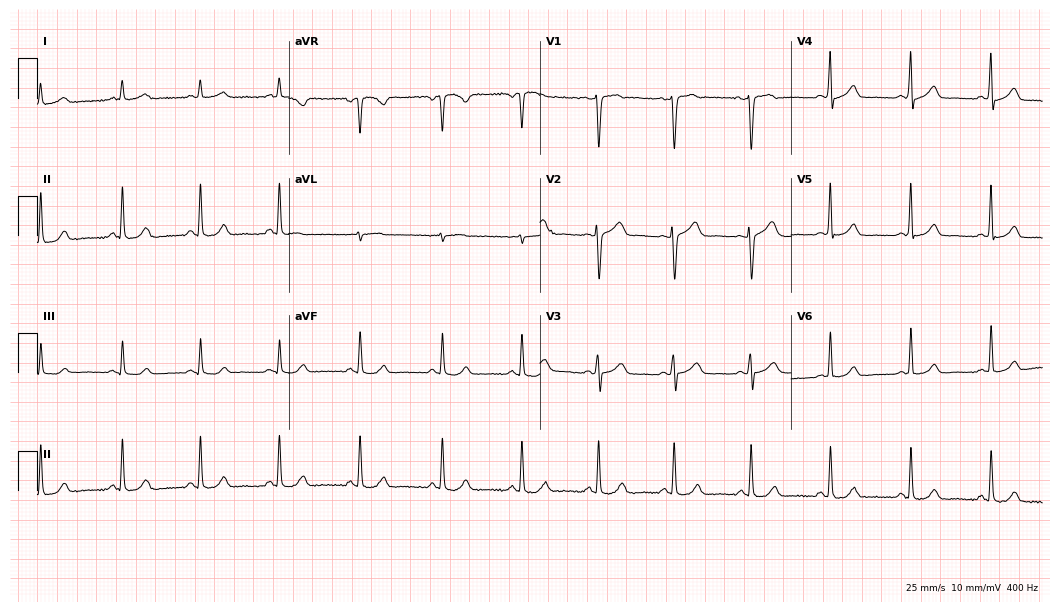
12-lead ECG from a woman, 42 years old (10.2-second recording at 400 Hz). No first-degree AV block, right bundle branch block, left bundle branch block, sinus bradycardia, atrial fibrillation or sinus tachycardia recorded for this tracing.